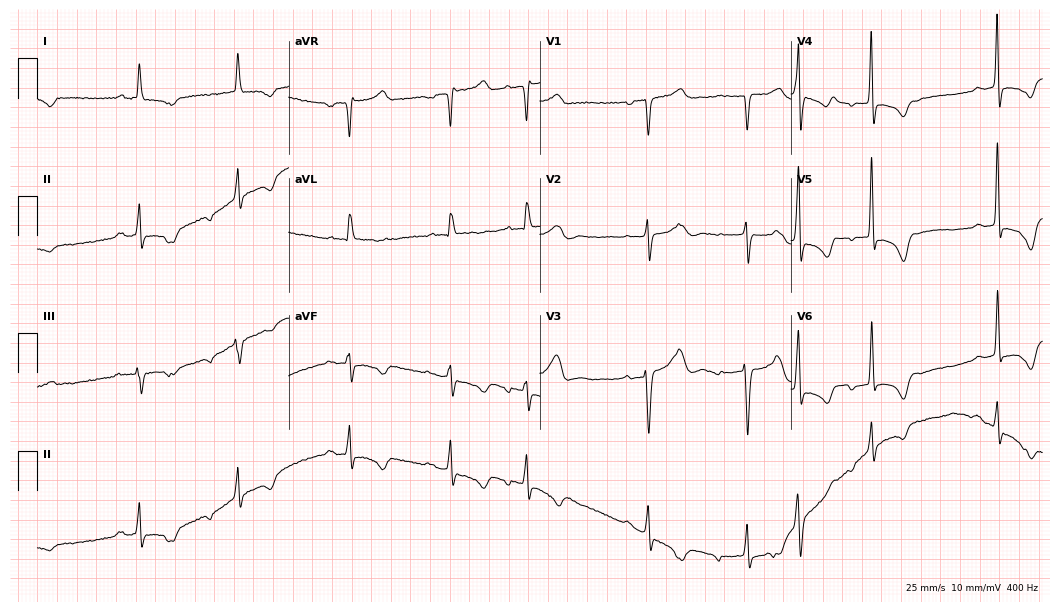
12-lead ECG from a female patient, 79 years old. Shows first-degree AV block.